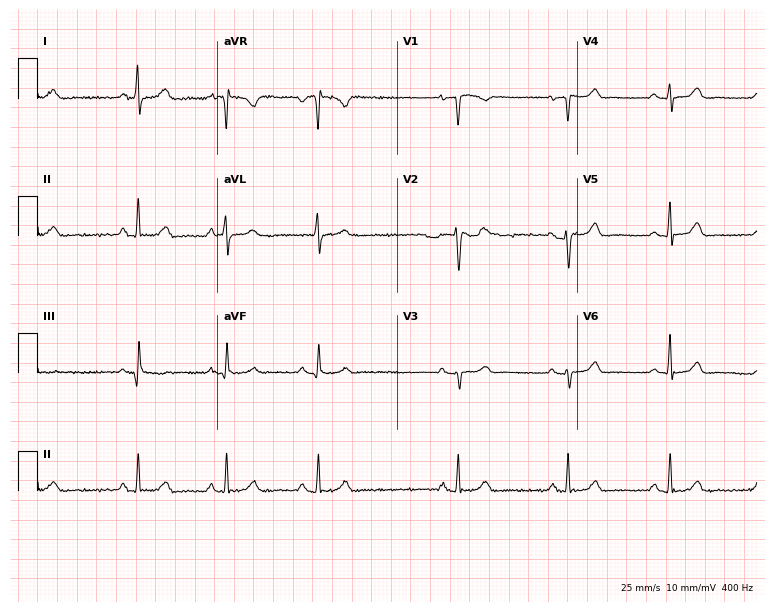
12-lead ECG from a female patient, 47 years old. Labelled as a normal ECG.